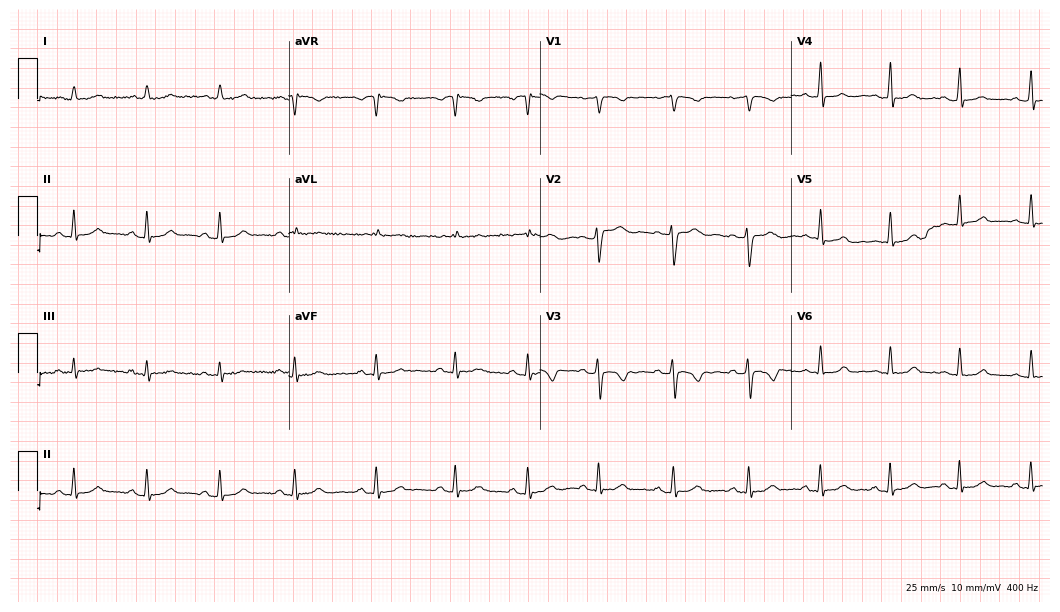
Electrocardiogram (10.2-second recording at 400 Hz), a 25-year-old female patient. Overall reading on record: normal ECG.